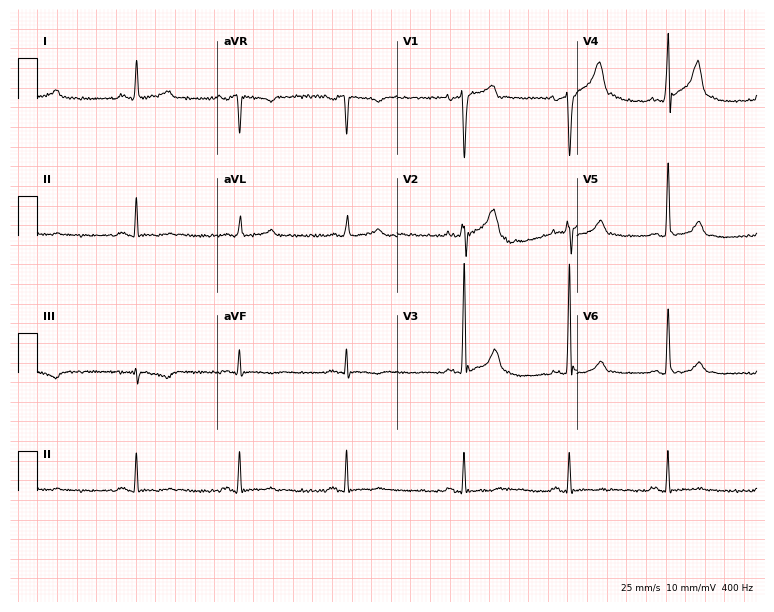
Resting 12-lead electrocardiogram (7.3-second recording at 400 Hz). Patient: a 43-year-old male. None of these six findings is recorded: first-degree AV block, right bundle branch block, left bundle branch block, sinus bradycardia, atrial fibrillation, sinus tachycardia. Only these six findings were labelled.